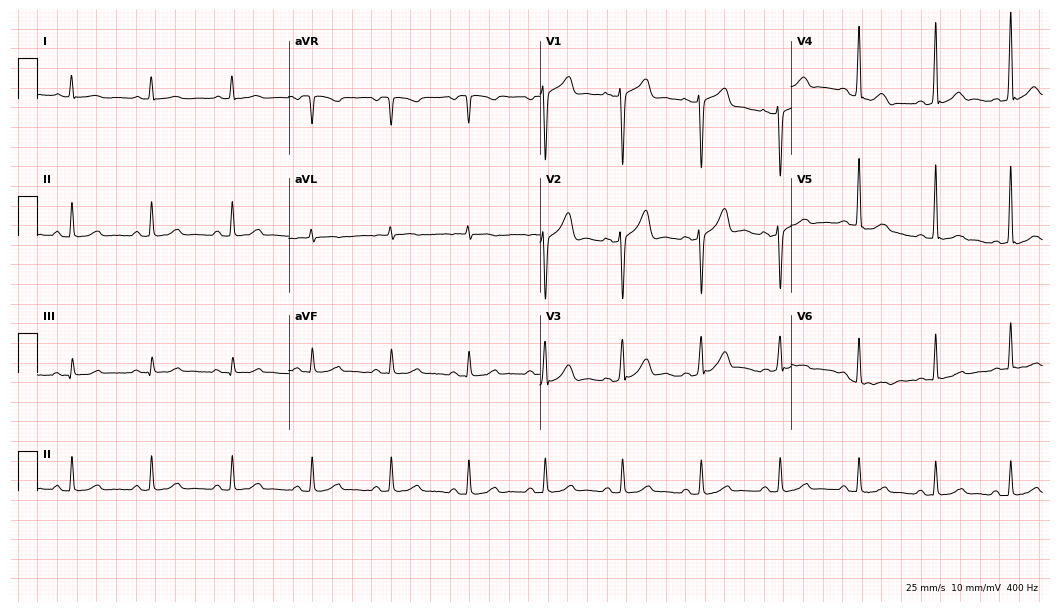
Resting 12-lead electrocardiogram. Patient: a male, 52 years old. Read as a normal ECG.